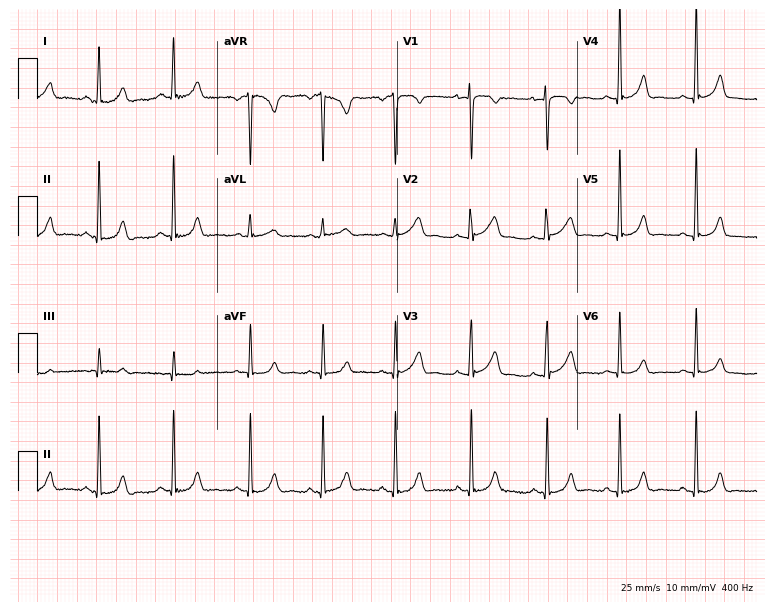
Electrocardiogram (7.3-second recording at 400 Hz), a female patient, 21 years old. Overall reading on record: normal ECG.